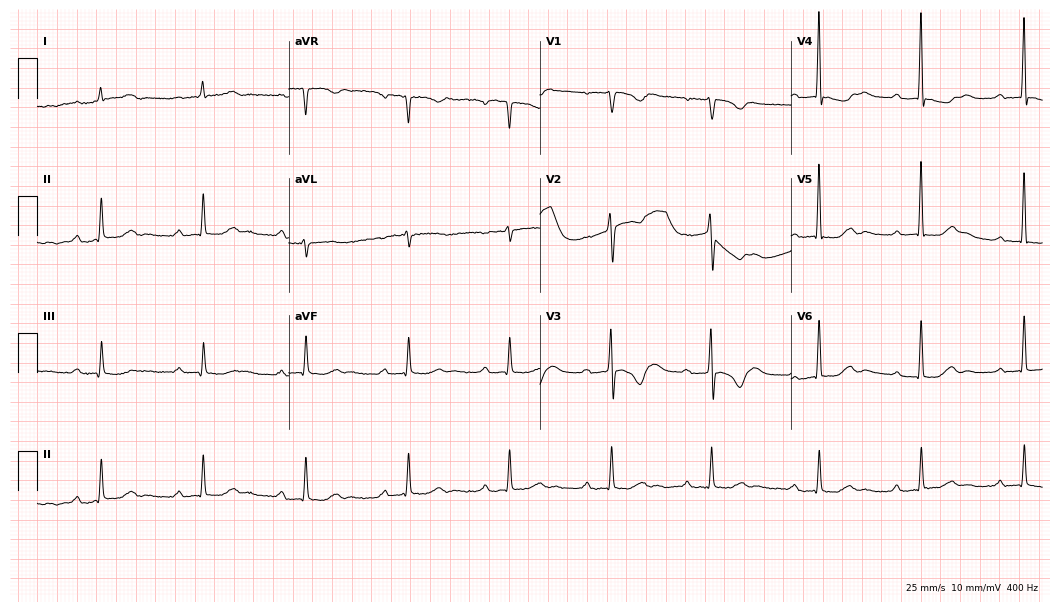
ECG (10.2-second recording at 400 Hz) — a woman, 77 years old. Findings include first-degree AV block.